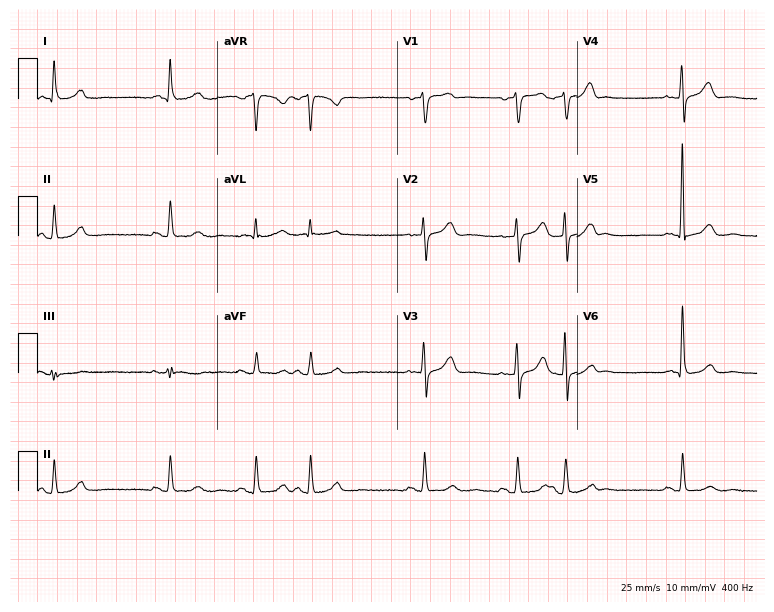
Electrocardiogram (7.3-second recording at 400 Hz), a man, 68 years old. Of the six screened findings (first-degree AV block, right bundle branch block, left bundle branch block, sinus bradycardia, atrial fibrillation, sinus tachycardia), none is recorded.